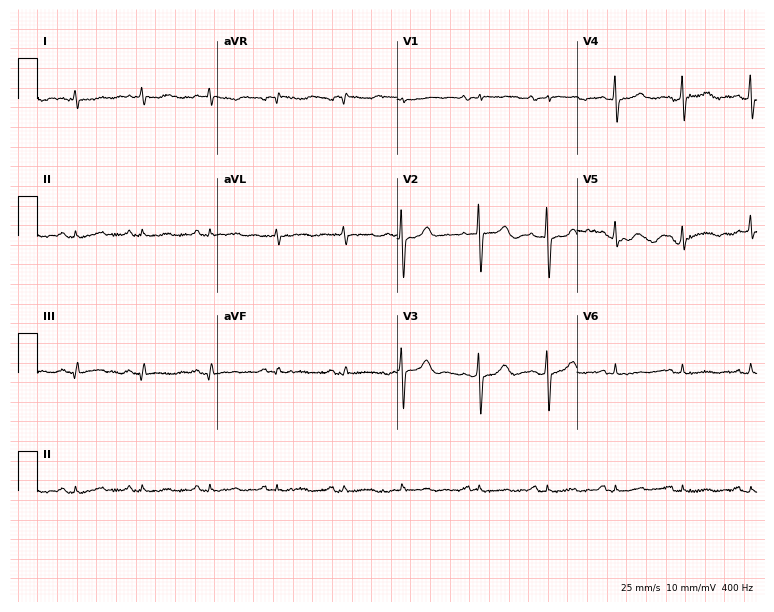
Standard 12-lead ECG recorded from an 82-year-old woman (7.3-second recording at 400 Hz). None of these six findings is recorded: first-degree AV block, right bundle branch block, left bundle branch block, sinus bradycardia, atrial fibrillation, sinus tachycardia.